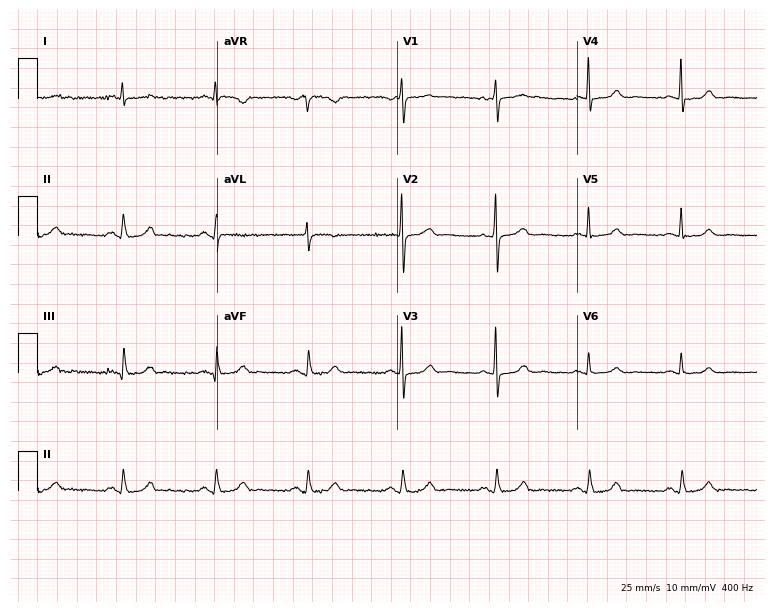
Electrocardiogram (7.3-second recording at 400 Hz), a female patient, 77 years old. Of the six screened findings (first-degree AV block, right bundle branch block (RBBB), left bundle branch block (LBBB), sinus bradycardia, atrial fibrillation (AF), sinus tachycardia), none is recorded. Only these six findings were labelled.